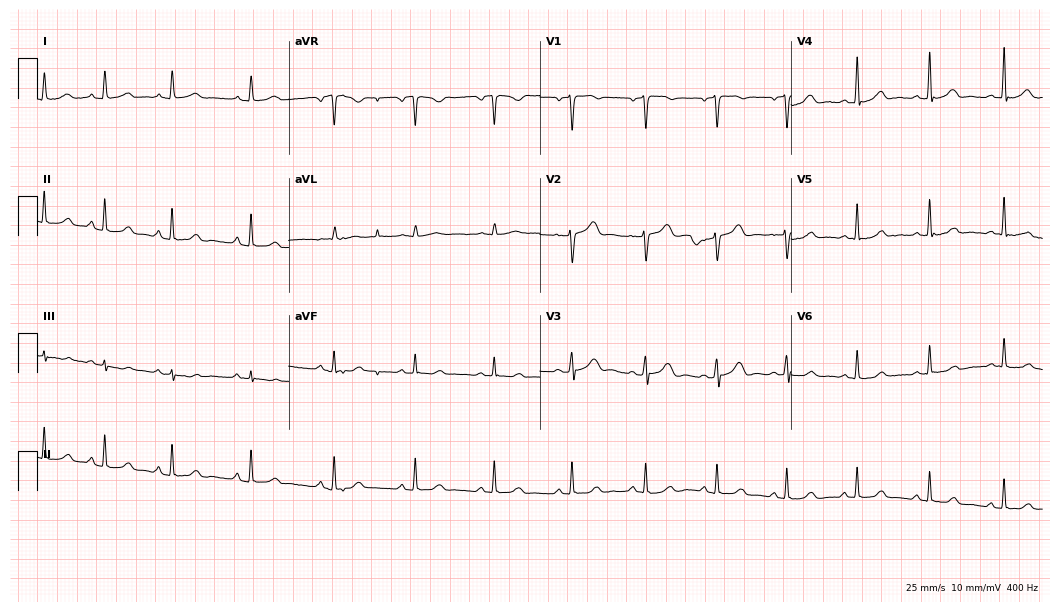
Resting 12-lead electrocardiogram (10.2-second recording at 400 Hz). Patient: a woman, 48 years old. Read as a normal ECG.